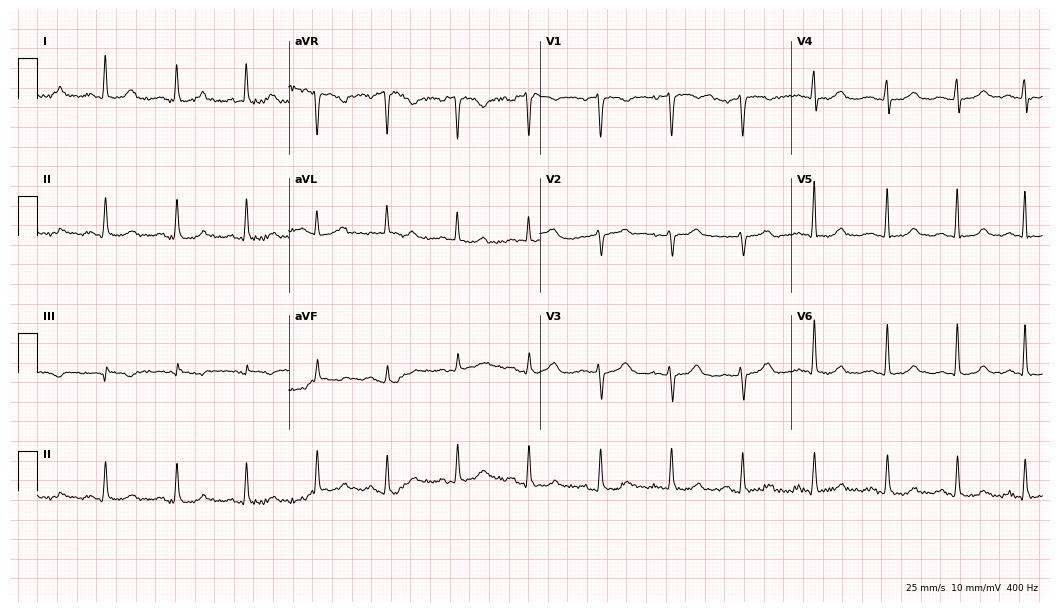
12-lead ECG from a female, 59 years old. No first-degree AV block, right bundle branch block, left bundle branch block, sinus bradycardia, atrial fibrillation or sinus tachycardia recorded for this tracing.